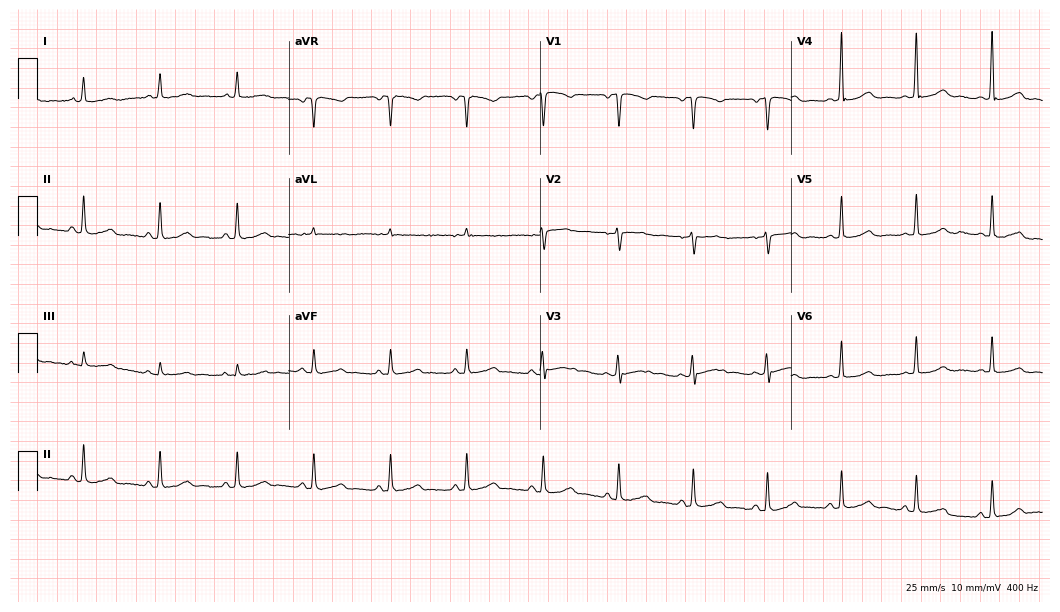
ECG — a female, 54 years old. Labelled as a normal ECG.